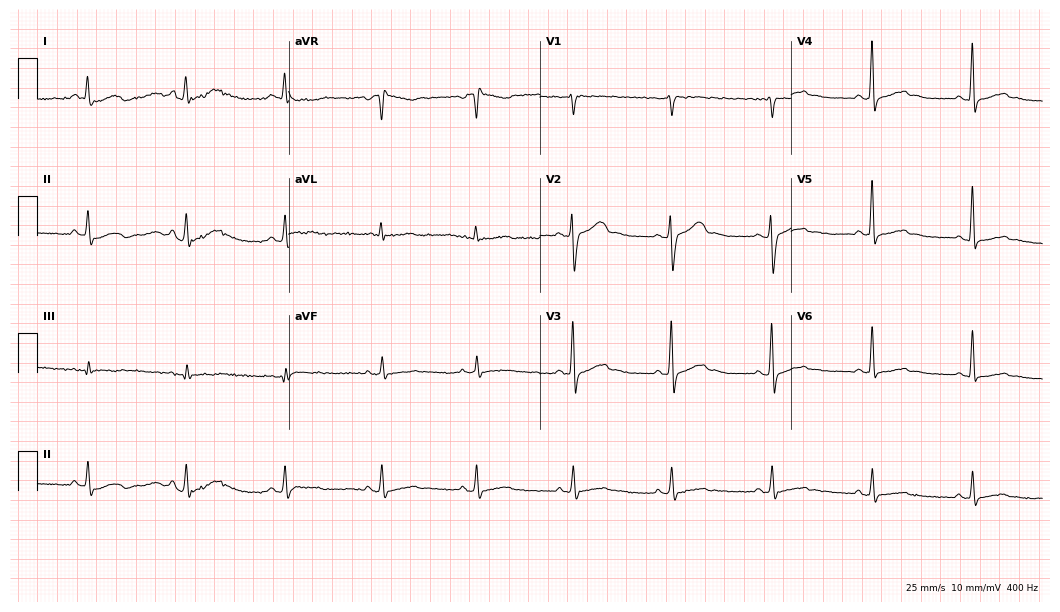
Resting 12-lead electrocardiogram. Patient: a man, 47 years old. None of these six findings is recorded: first-degree AV block, right bundle branch block, left bundle branch block, sinus bradycardia, atrial fibrillation, sinus tachycardia.